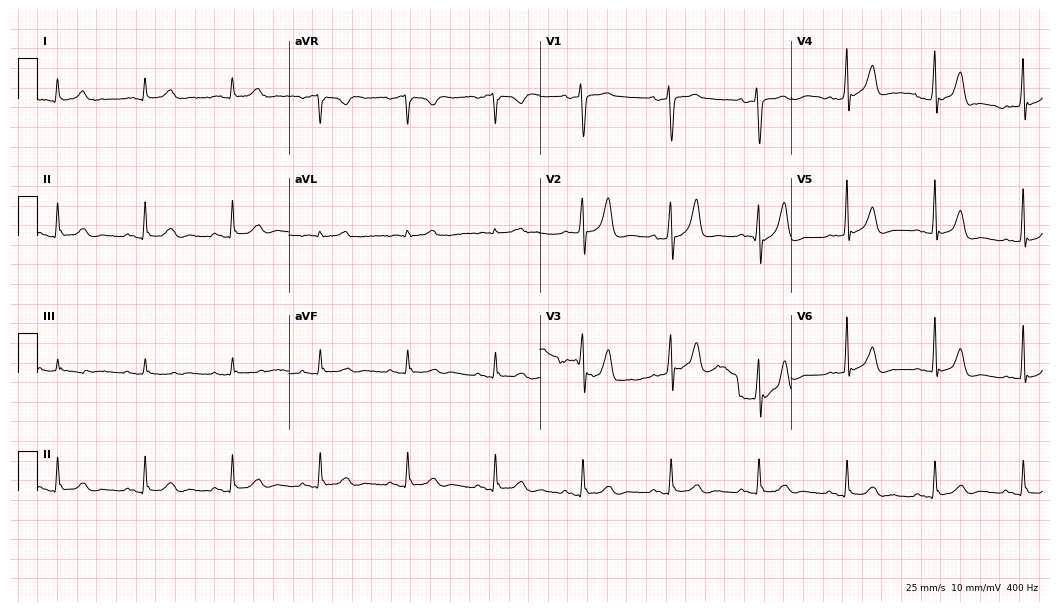
Standard 12-lead ECG recorded from a male, 79 years old (10.2-second recording at 400 Hz). Read as a normal ECG.